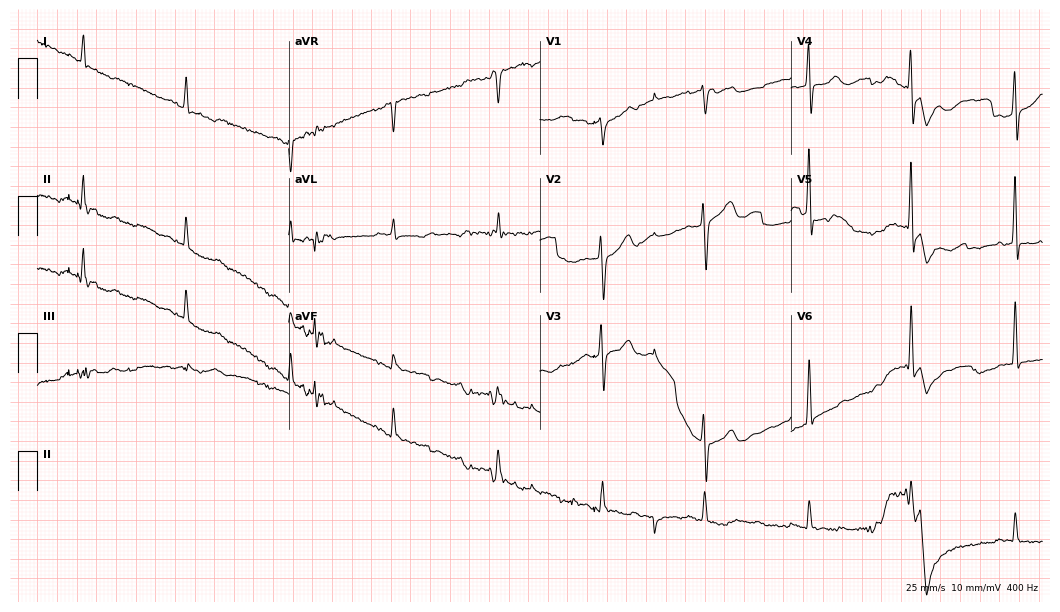
12-lead ECG from a man, 74 years old. Screened for six findings — first-degree AV block, right bundle branch block (RBBB), left bundle branch block (LBBB), sinus bradycardia, atrial fibrillation (AF), sinus tachycardia — none is recorded. Only these six findings were labelled.